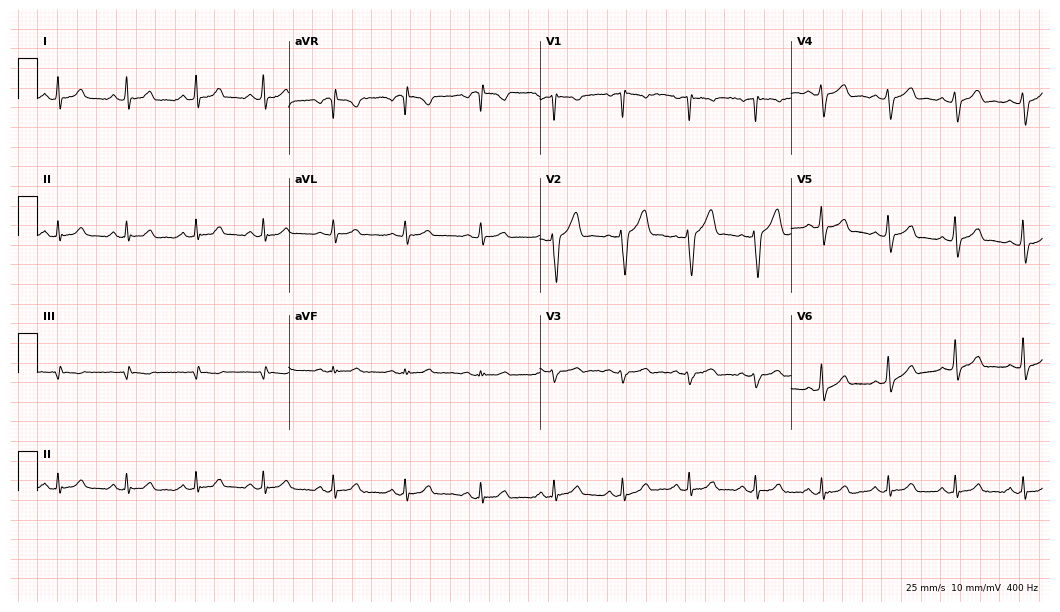
Standard 12-lead ECG recorded from a 31-year-old male (10.2-second recording at 400 Hz). Read as a normal ECG.